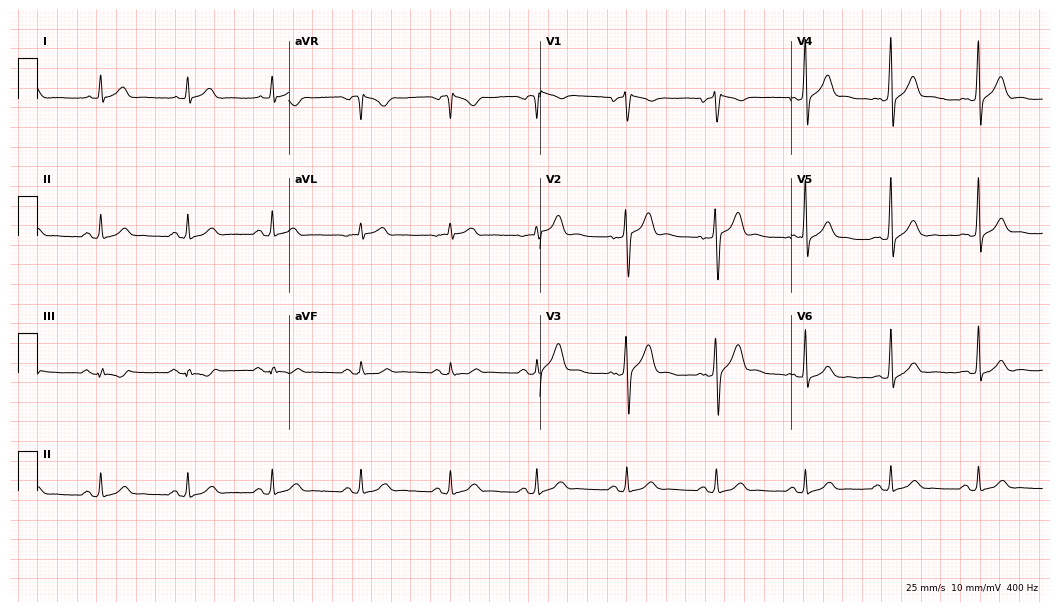
Resting 12-lead electrocardiogram. Patient: a male, 40 years old. None of these six findings is recorded: first-degree AV block, right bundle branch block, left bundle branch block, sinus bradycardia, atrial fibrillation, sinus tachycardia.